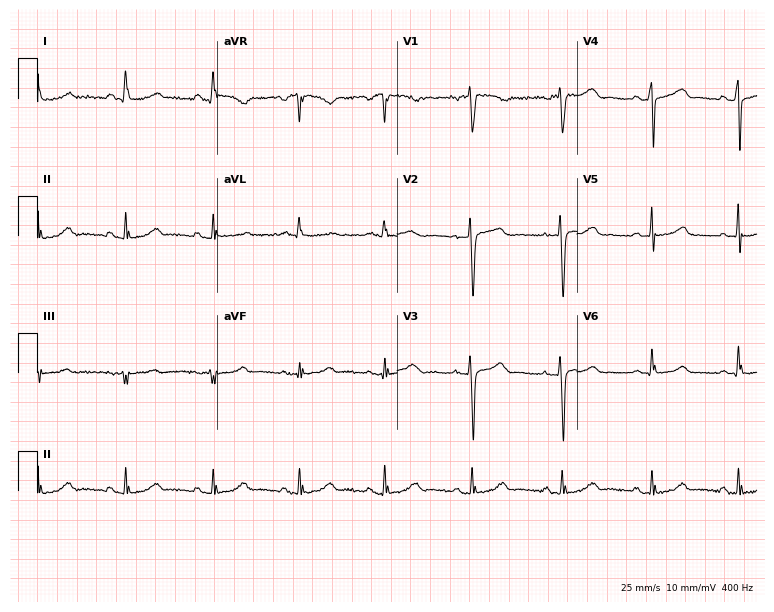
Resting 12-lead electrocardiogram. Patient: a 59-year-old female. None of these six findings is recorded: first-degree AV block, right bundle branch block, left bundle branch block, sinus bradycardia, atrial fibrillation, sinus tachycardia.